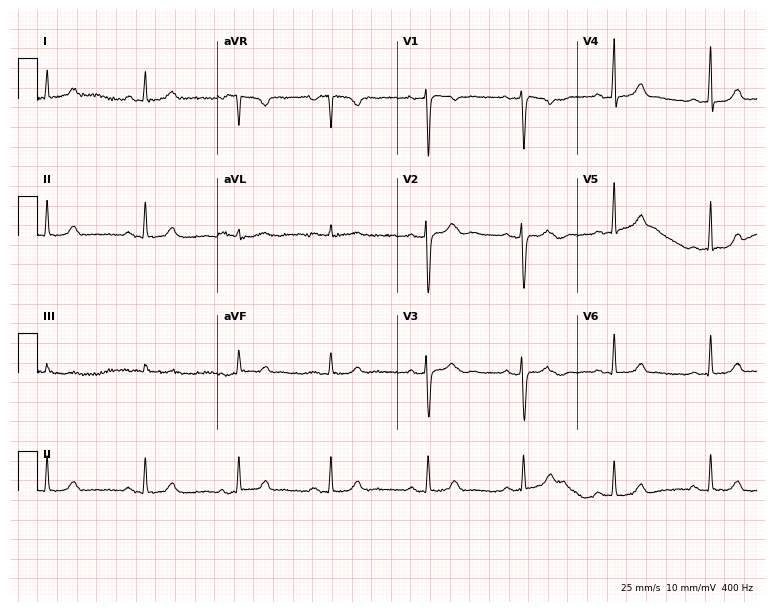
12-lead ECG from a woman, 24 years old. Labelled as a normal ECG.